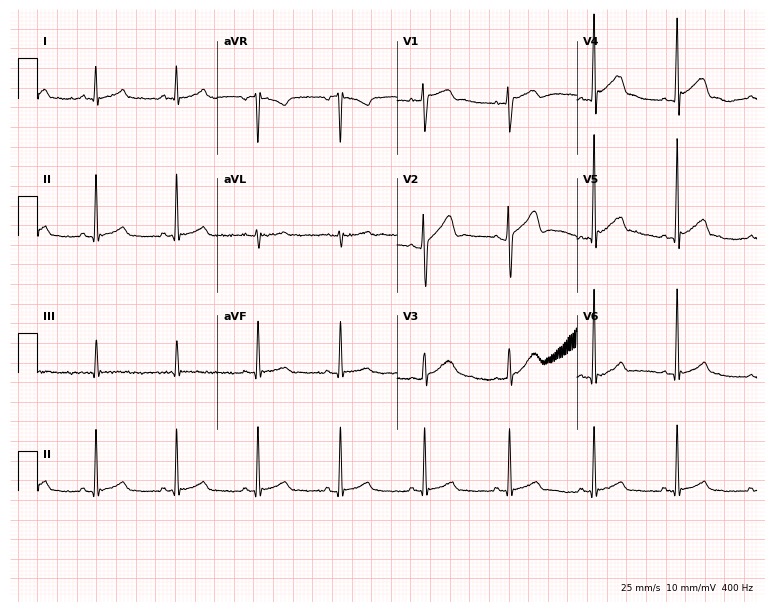
Electrocardiogram (7.3-second recording at 400 Hz), a male, 28 years old. Overall reading on record: normal ECG.